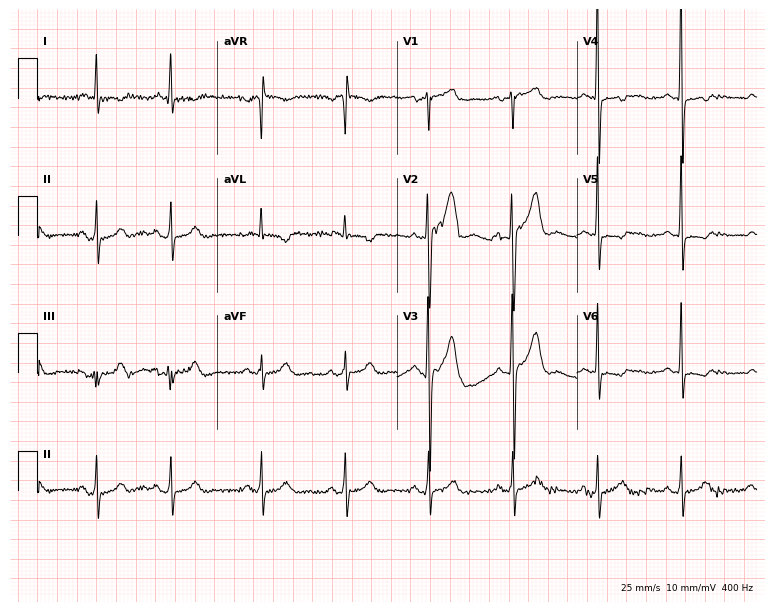
12-lead ECG from a man, 68 years old (7.3-second recording at 400 Hz). No first-degree AV block, right bundle branch block, left bundle branch block, sinus bradycardia, atrial fibrillation or sinus tachycardia recorded for this tracing. Other findings, if any, are not listed.